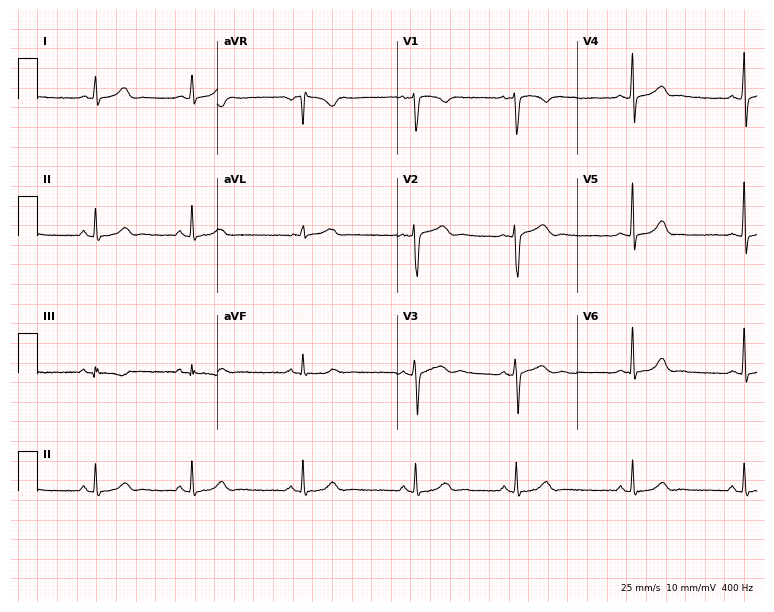
Standard 12-lead ECG recorded from a female patient, 19 years old (7.3-second recording at 400 Hz). Read as a normal ECG.